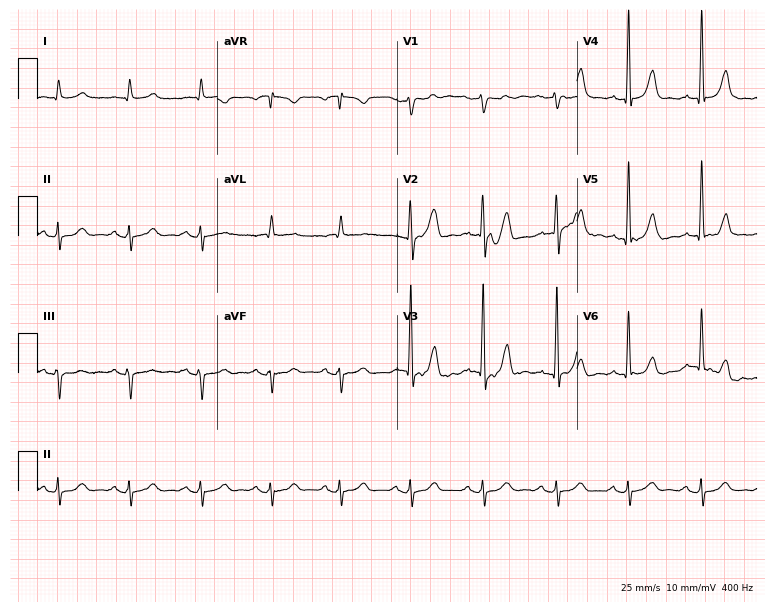
Standard 12-lead ECG recorded from a male, 73 years old. None of these six findings is recorded: first-degree AV block, right bundle branch block, left bundle branch block, sinus bradycardia, atrial fibrillation, sinus tachycardia.